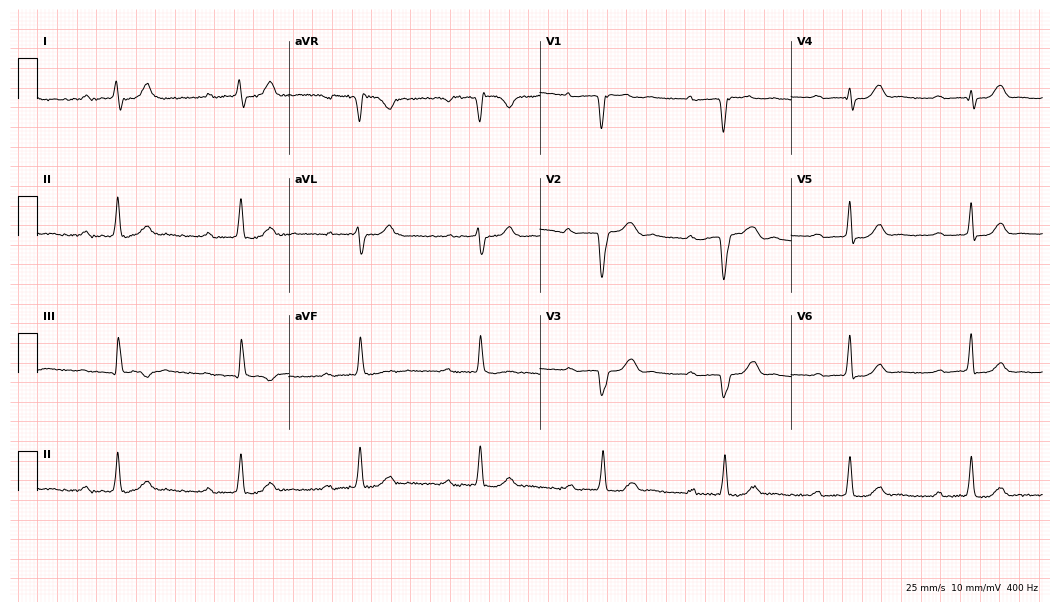
12-lead ECG from a 72-year-old man. Findings include first-degree AV block, right bundle branch block (RBBB).